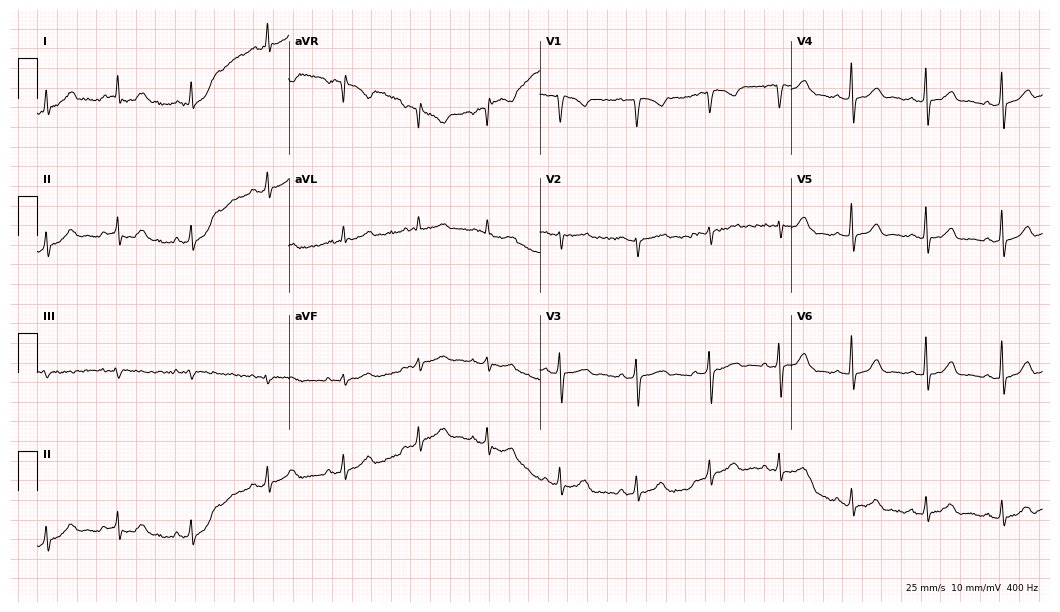
Resting 12-lead electrocardiogram (10.2-second recording at 400 Hz). Patient: a woman, 21 years old. Read as a normal ECG.